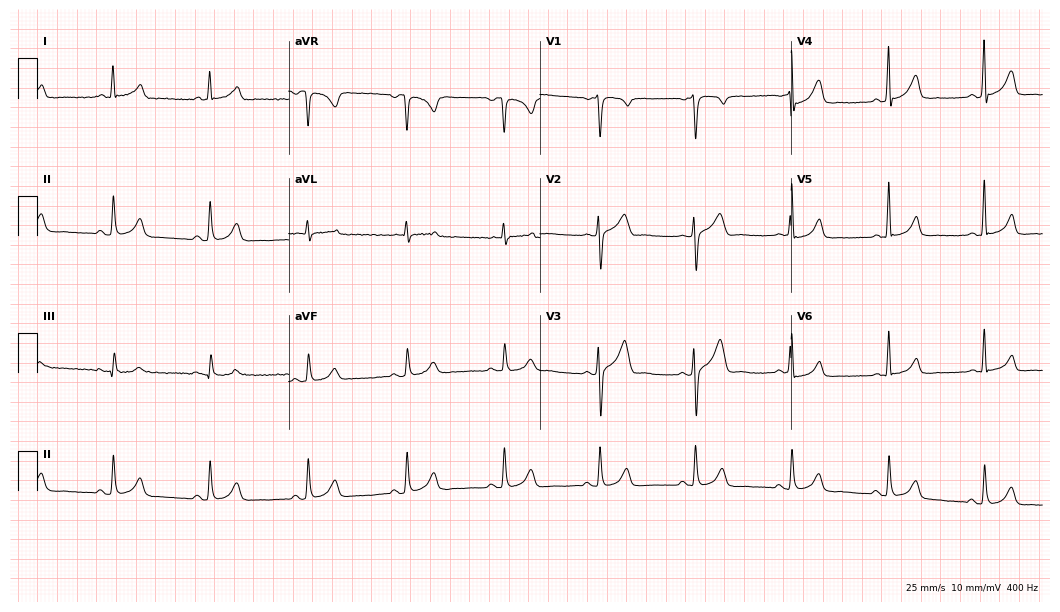
Standard 12-lead ECG recorded from a 35-year-old male patient. Read as a normal ECG.